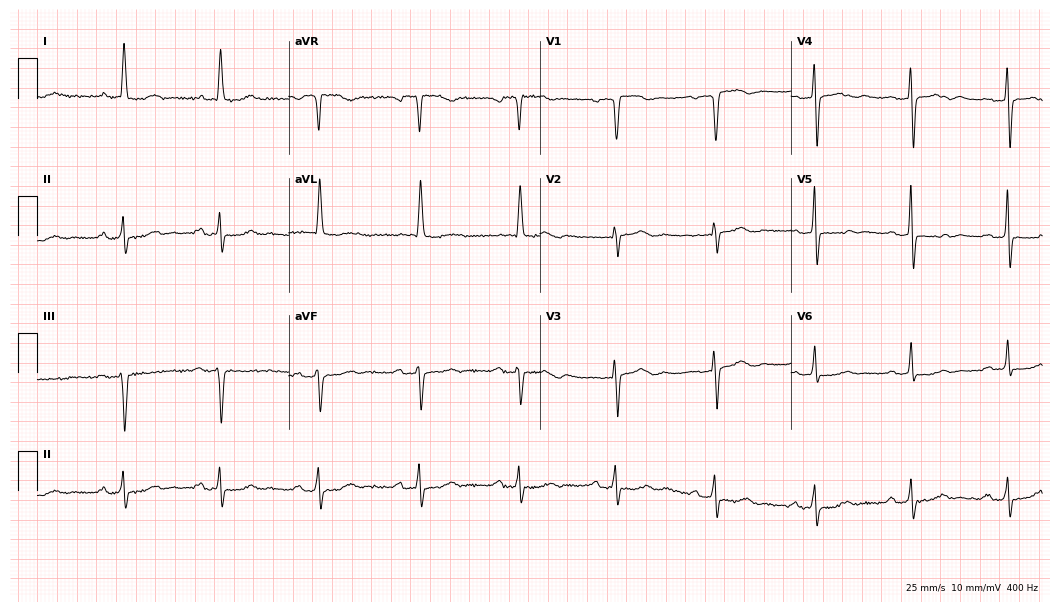
12-lead ECG from a 74-year-old woman. No first-degree AV block, right bundle branch block, left bundle branch block, sinus bradycardia, atrial fibrillation or sinus tachycardia recorded for this tracing. Only these six findings were labelled.